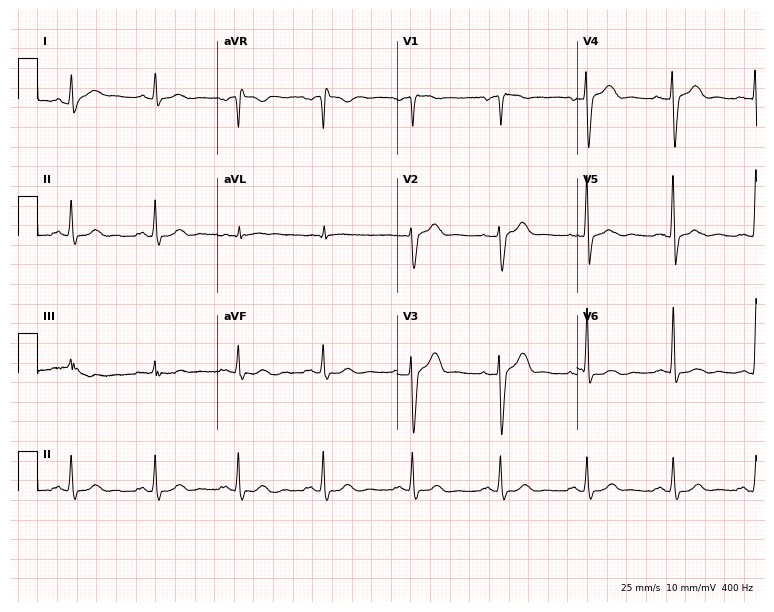
Resting 12-lead electrocardiogram. Patient: a 49-year-old male. Read as a normal ECG.